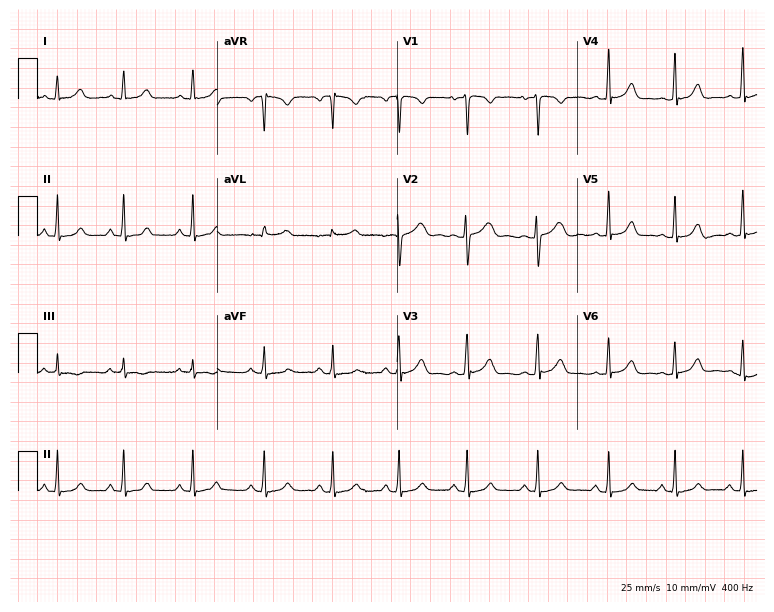
Electrocardiogram (7.3-second recording at 400 Hz), an 18-year-old female. Overall reading on record: normal ECG.